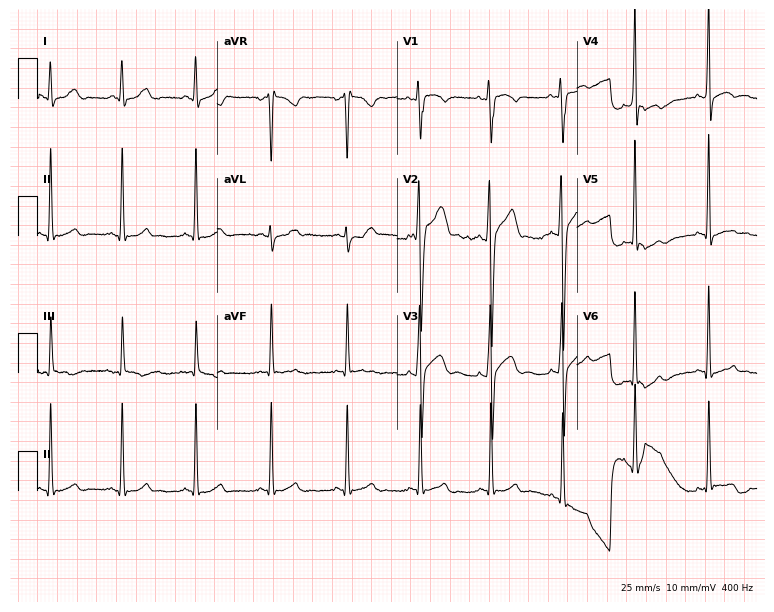
Electrocardiogram (7.3-second recording at 400 Hz), a 25-year-old man. Overall reading on record: normal ECG.